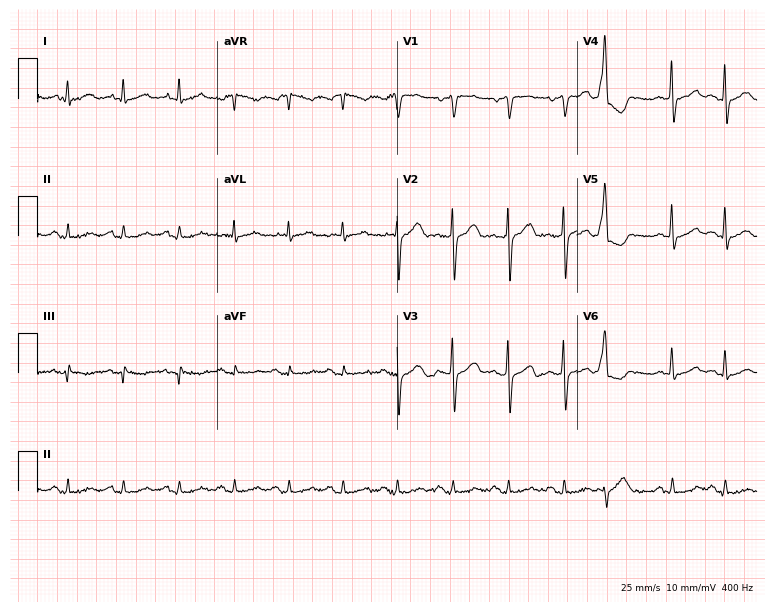
Electrocardiogram, a 57-year-old man. Of the six screened findings (first-degree AV block, right bundle branch block, left bundle branch block, sinus bradycardia, atrial fibrillation, sinus tachycardia), none is recorded.